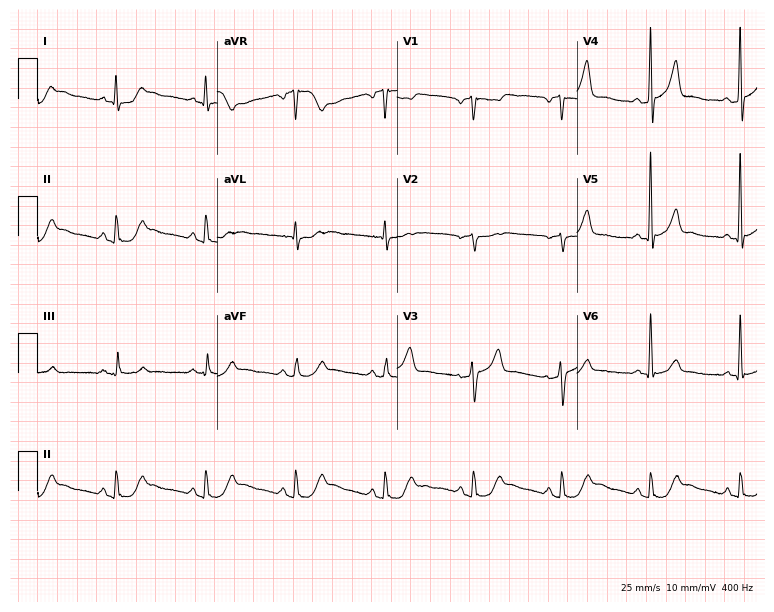
Electrocardiogram, a male patient, 65 years old. Overall reading on record: normal ECG.